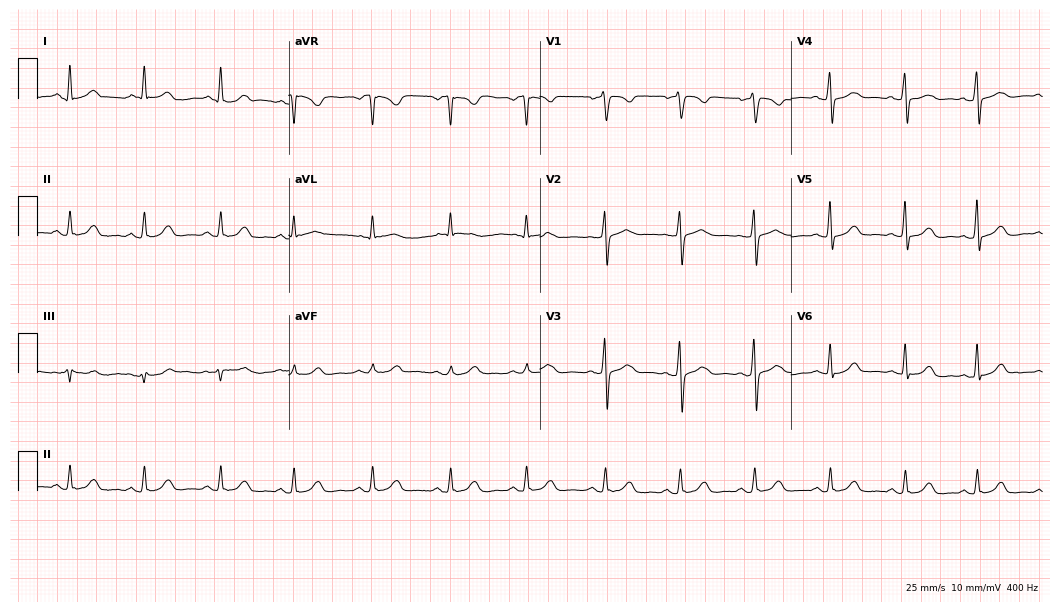
ECG — a 59-year-old female patient. Screened for six findings — first-degree AV block, right bundle branch block, left bundle branch block, sinus bradycardia, atrial fibrillation, sinus tachycardia — none is recorded. Other findings, if any, are not listed.